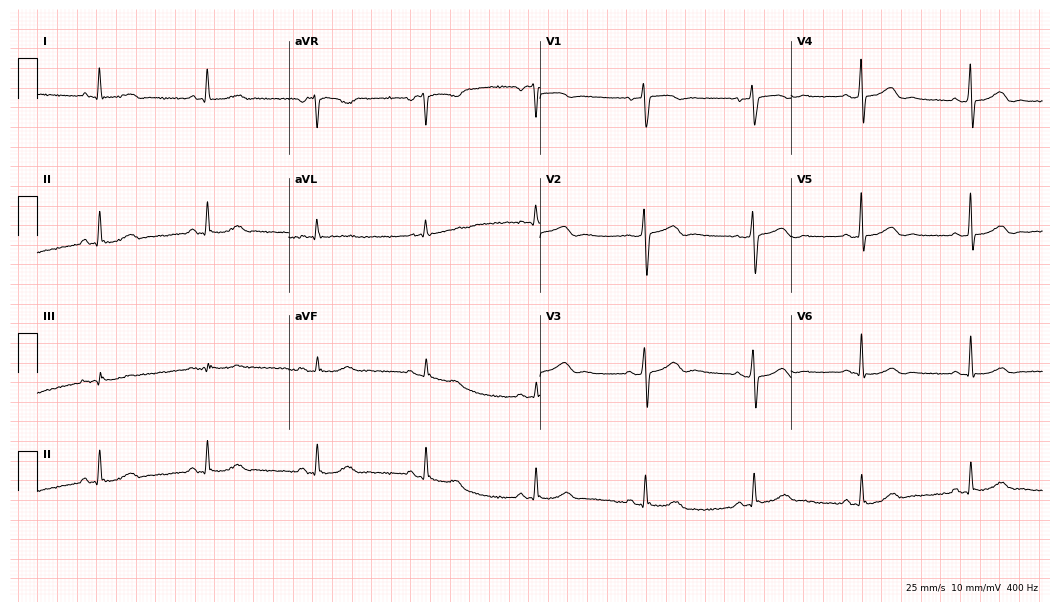
Resting 12-lead electrocardiogram. Patient: an 81-year-old female. Read as a normal ECG.